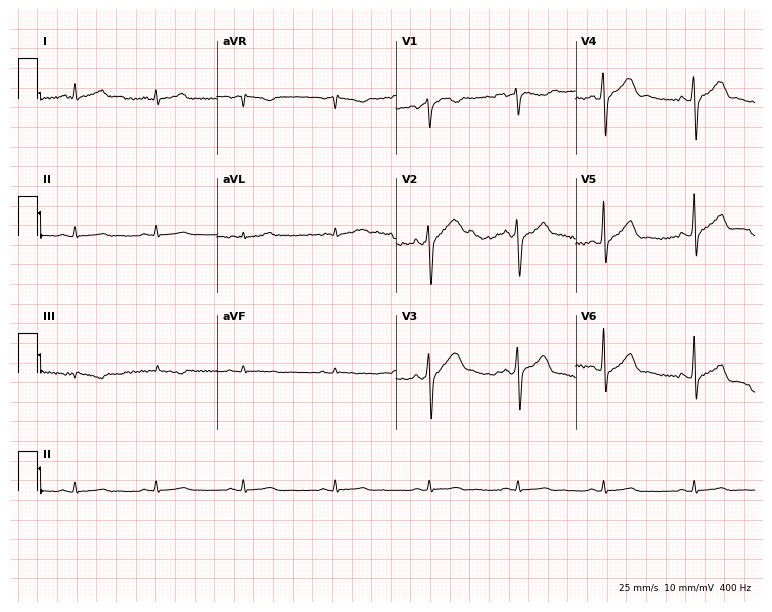
Standard 12-lead ECG recorded from a 58-year-old male (7.3-second recording at 400 Hz). None of these six findings is recorded: first-degree AV block, right bundle branch block, left bundle branch block, sinus bradycardia, atrial fibrillation, sinus tachycardia. Only these six findings were labelled.